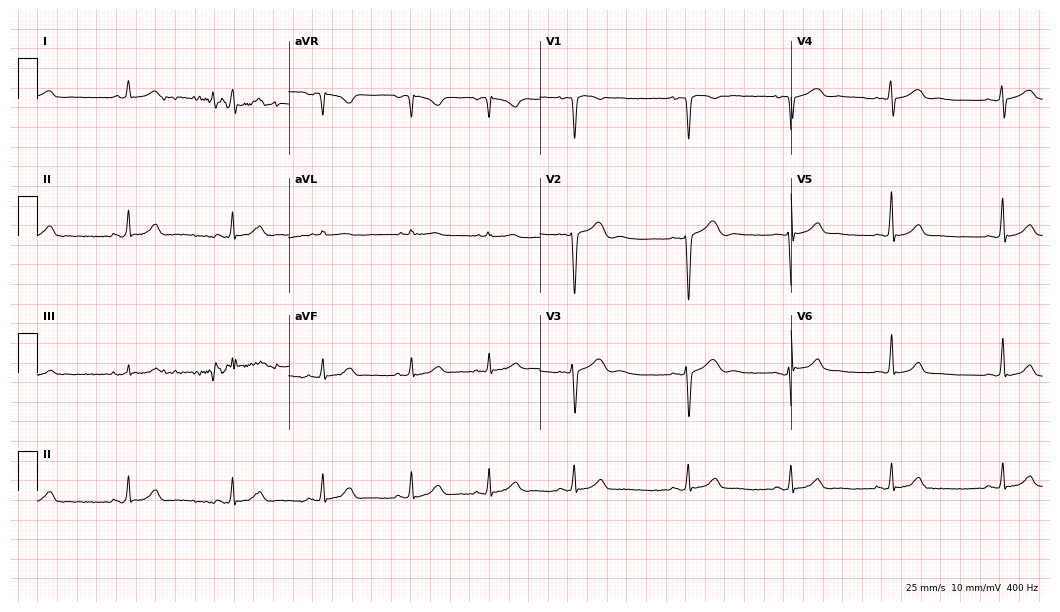
ECG — a woman, 29 years old. Labelled as a normal ECG.